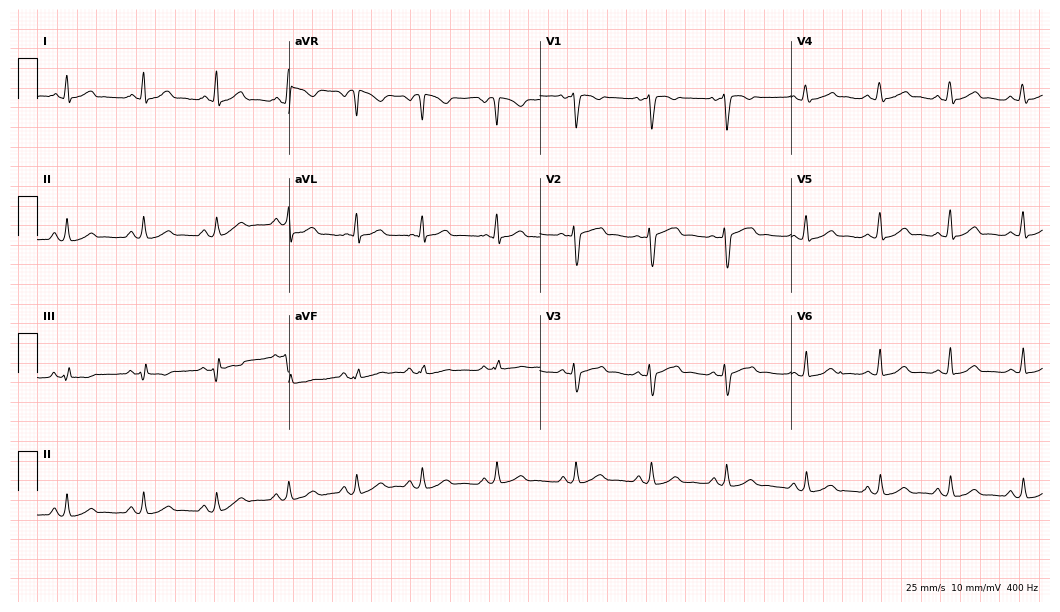
12-lead ECG from a 21-year-old female patient (10.2-second recording at 400 Hz). Recorded interpretation: within normal limits.